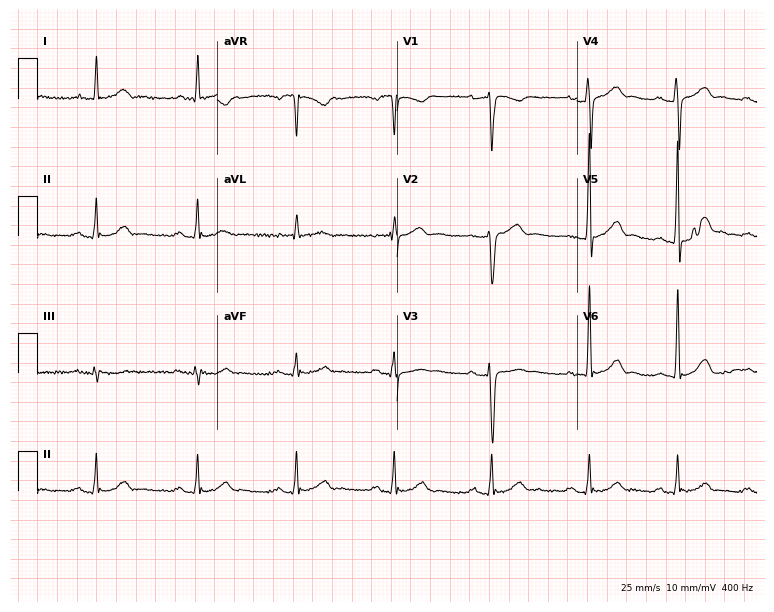
12-lead ECG from a man, 57 years old. Shows first-degree AV block.